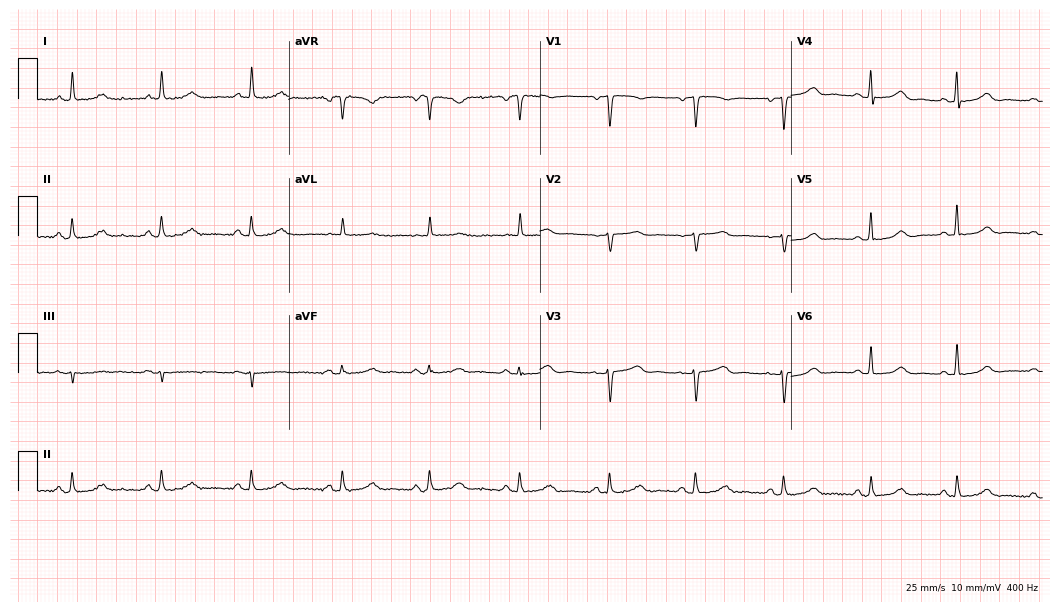
Resting 12-lead electrocardiogram. Patient: a 58-year-old female. Read as a normal ECG.